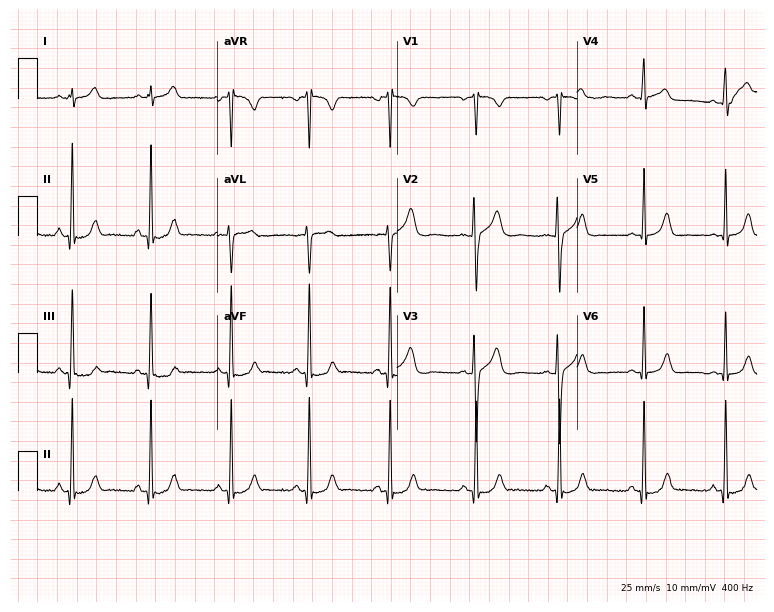
Electrocardiogram (7.3-second recording at 400 Hz), a male, 21 years old. Overall reading on record: normal ECG.